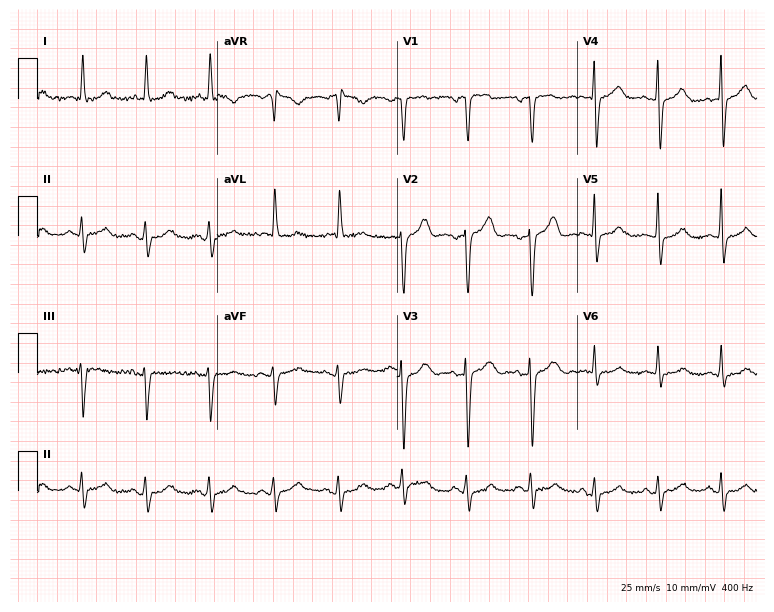
Resting 12-lead electrocardiogram. Patient: a man, 64 years old. None of these six findings is recorded: first-degree AV block, right bundle branch block, left bundle branch block, sinus bradycardia, atrial fibrillation, sinus tachycardia.